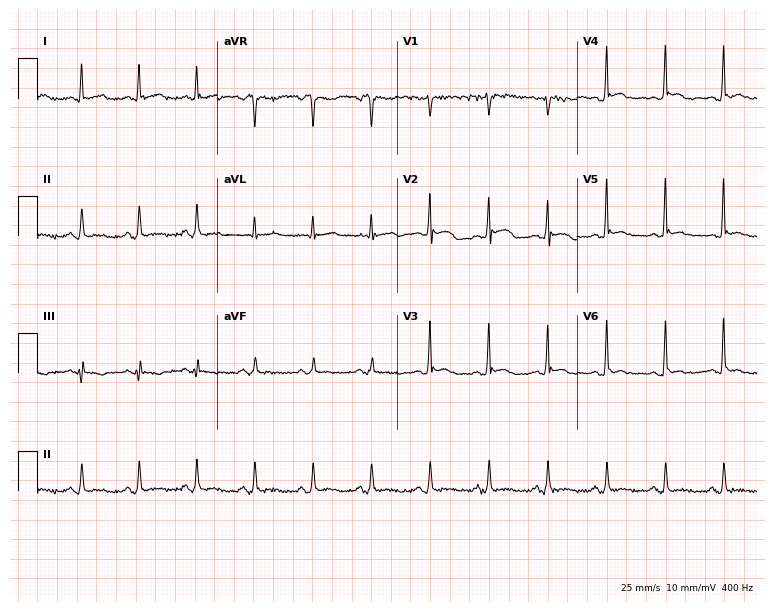
12-lead ECG from a male patient, 42 years old (7.3-second recording at 400 Hz). No first-degree AV block, right bundle branch block, left bundle branch block, sinus bradycardia, atrial fibrillation or sinus tachycardia recorded for this tracing.